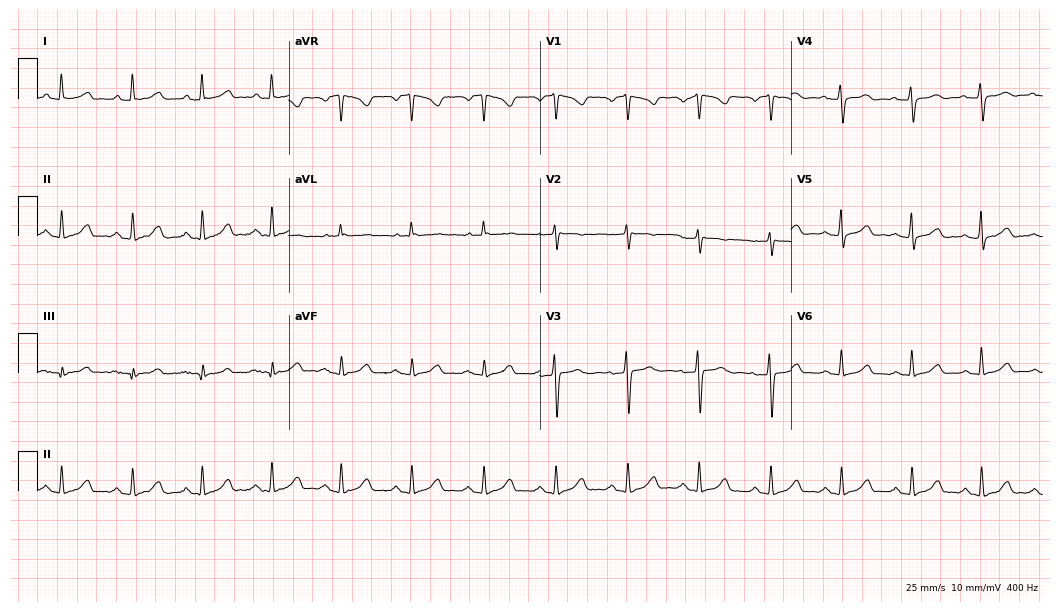
Resting 12-lead electrocardiogram (10.2-second recording at 400 Hz). Patient: a 58-year-old female. Read as a normal ECG.